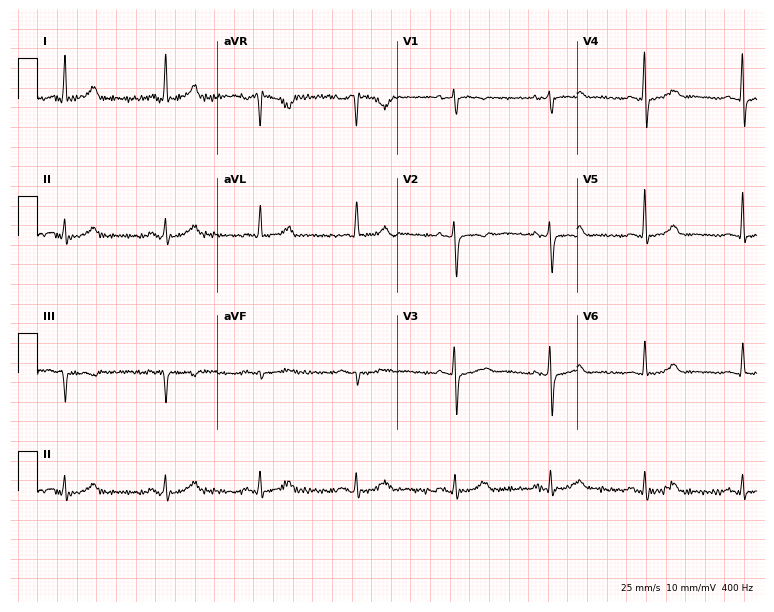
12-lead ECG from a 59-year-old woman. Screened for six findings — first-degree AV block, right bundle branch block (RBBB), left bundle branch block (LBBB), sinus bradycardia, atrial fibrillation (AF), sinus tachycardia — none is recorded.